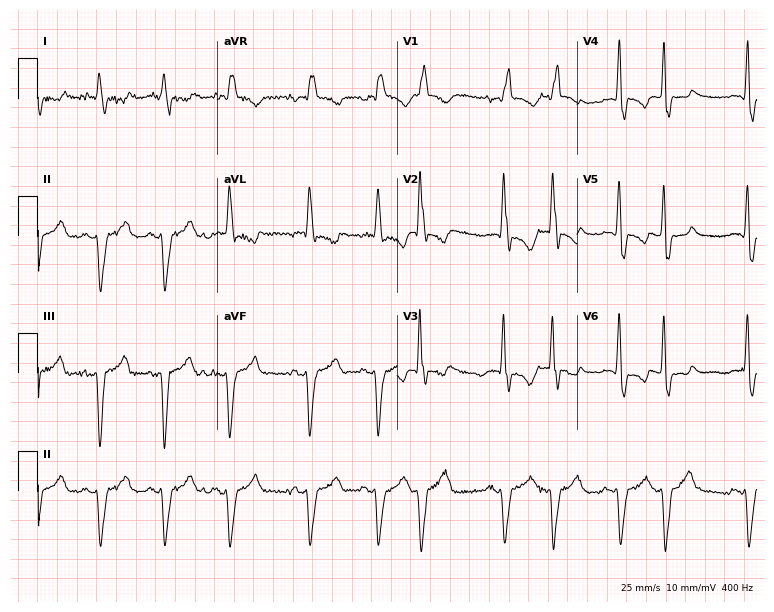
12-lead ECG from a 67-year-old woman. Findings include right bundle branch block (RBBB).